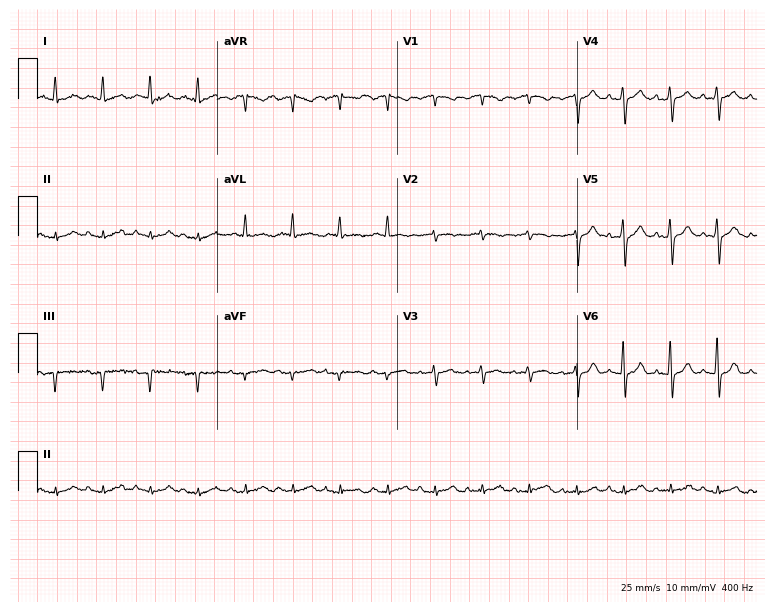
12-lead ECG from an 81-year-old male (7.3-second recording at 400 Hz). Shows sinus tachycardia (a sinus rate of 100 beats per minute or more).